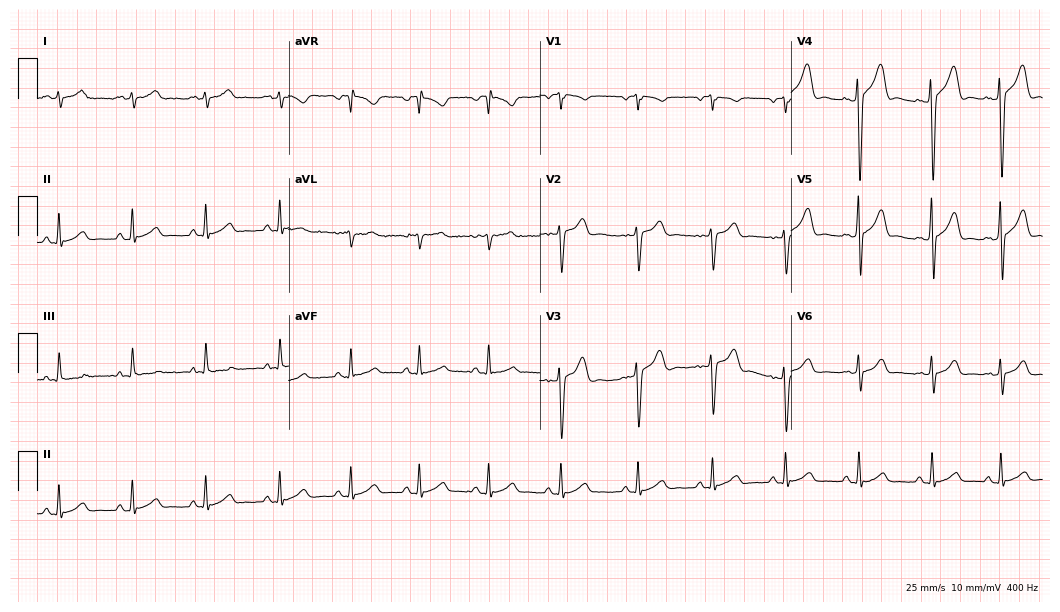
Standard 12-lead ECG recorded from a 76-year-old male. None of these six findings is recorded: first-degree AV block, right bundle branch block, left bundle branch block, sinus bradycardia, atrial fibrillation, sinus tachycardia. Findings outside these six are not listed.